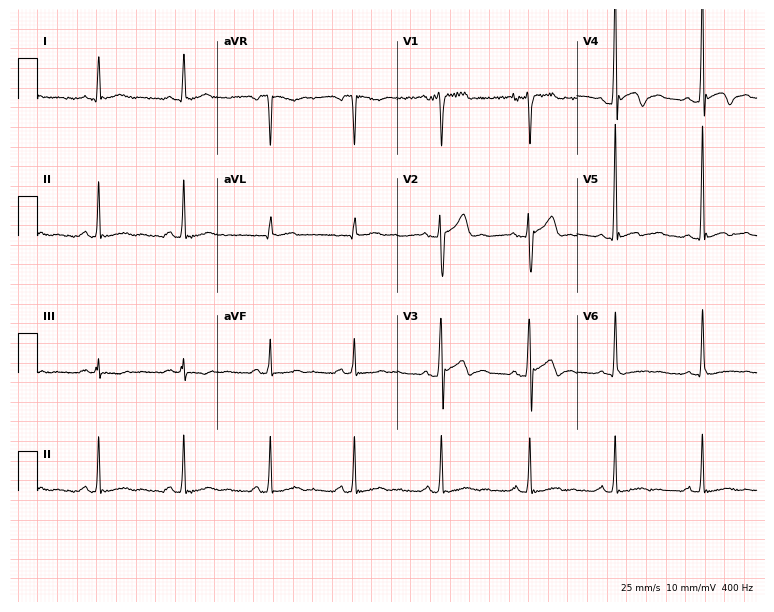
Electrocardiogram (7.3-second recording at 400 Hz), a male, 30 years old. Of the six screened findings (first-degree AV block, right bundle branch block, left bundle branch block, sinus bradycardia, atrial fibrillation, sinus tachycardia), none is recorded. Findings outside these six are not listed.